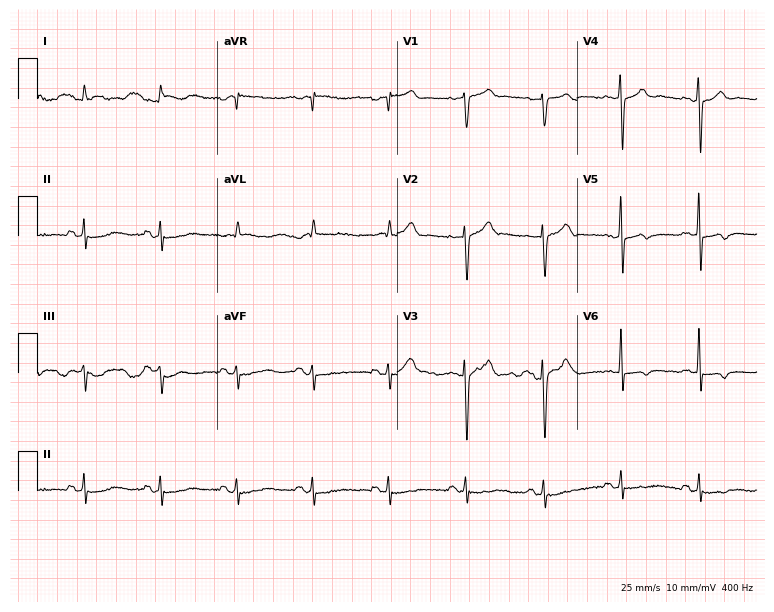
Resting 12-lead electrocardiogram (7.3-second recording at 400 Hz). Patient: an 82-year-old male. None of these six findings is recorded: first-degree AV block, right bundle branch block (RBBB), left bundle branch block (LBBB), sinus bradycardia, atrial fibrillation (AF), sinus tachycardia. Only these six findings were labelled.